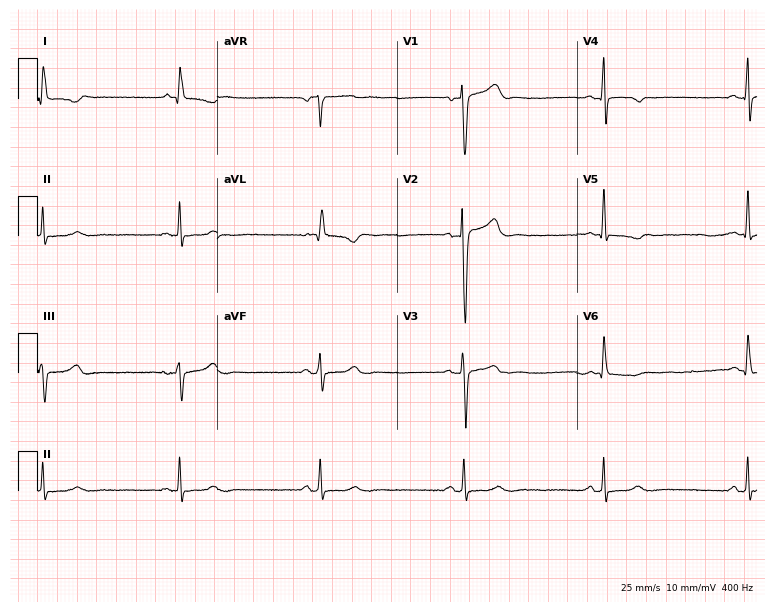
Electrocardiogram (7.3-second recording at 400 Hz), a female, 78 years old. Interpretation includes sinus bradycardia (a sinus rate of 50 beats per minute or less).